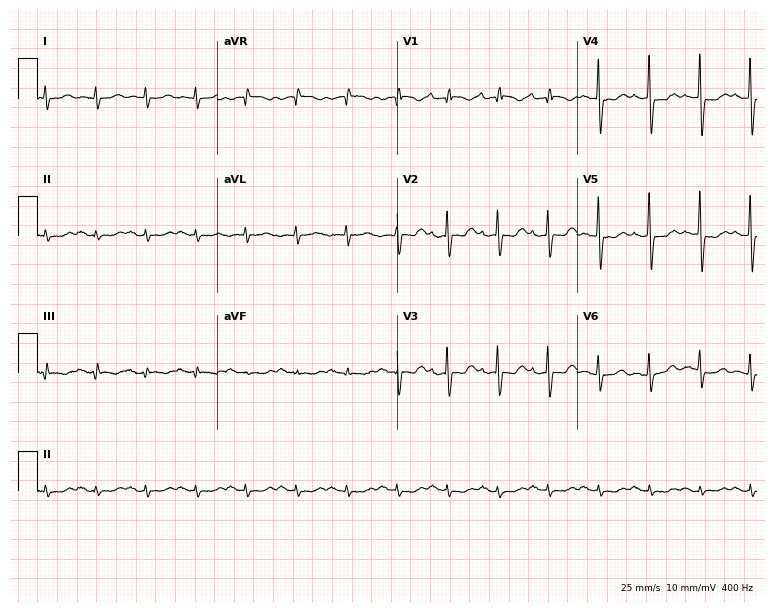
Electrocardiogram, a 79-year-old woman. Interpretation includes sinus tachycardia (a sinus rate of 100 beats per minute or more).